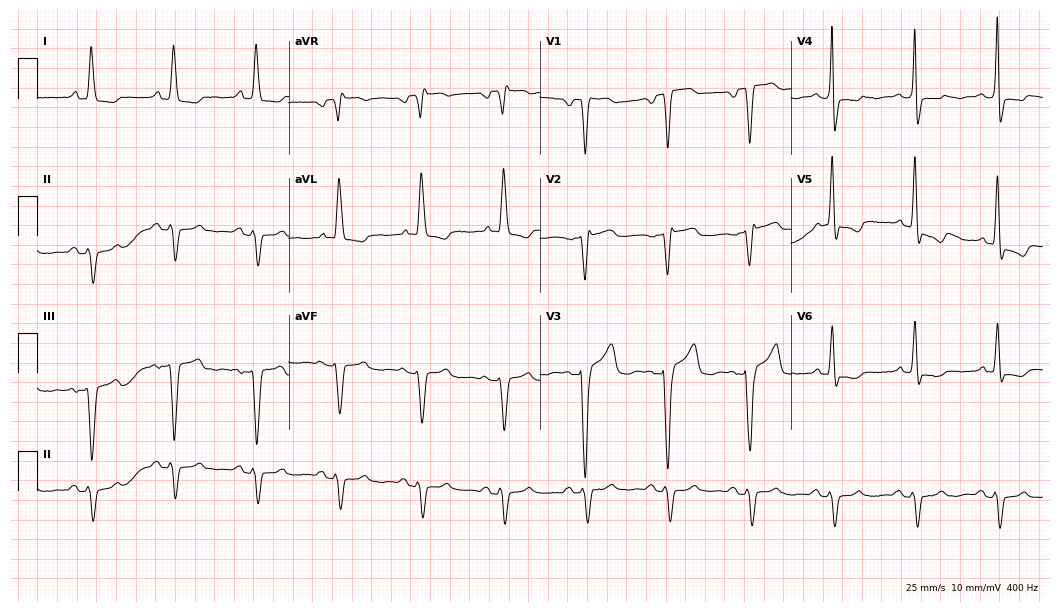
Electrocardiogram, a man, 76 years old. Interpretation includes left bundle branch block.